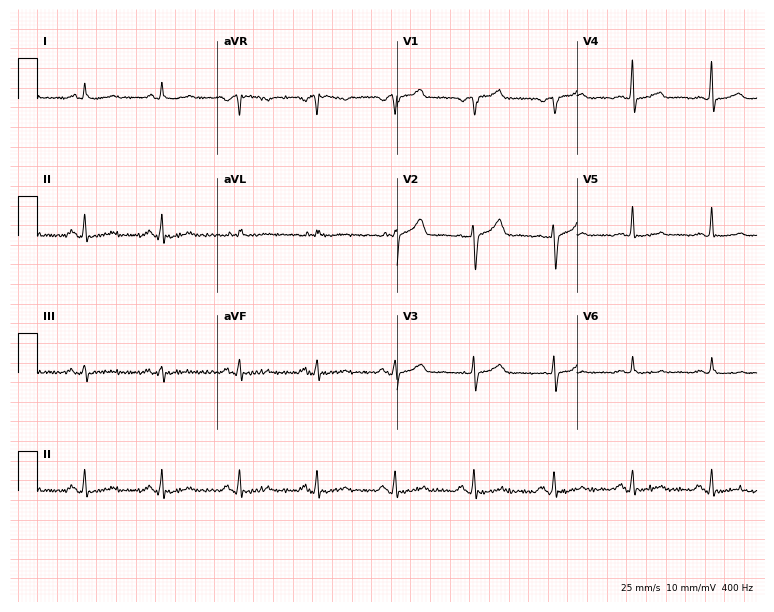
12-lead ECG (7.3-second recording at 400 Hz) from a man, 79 years old. Screened for six findings — first-degree AV block, right bundle branch block, left bundle branch block, sinus bradycardia, atrial fibrillation, sinus tachycardia — none is recorded.